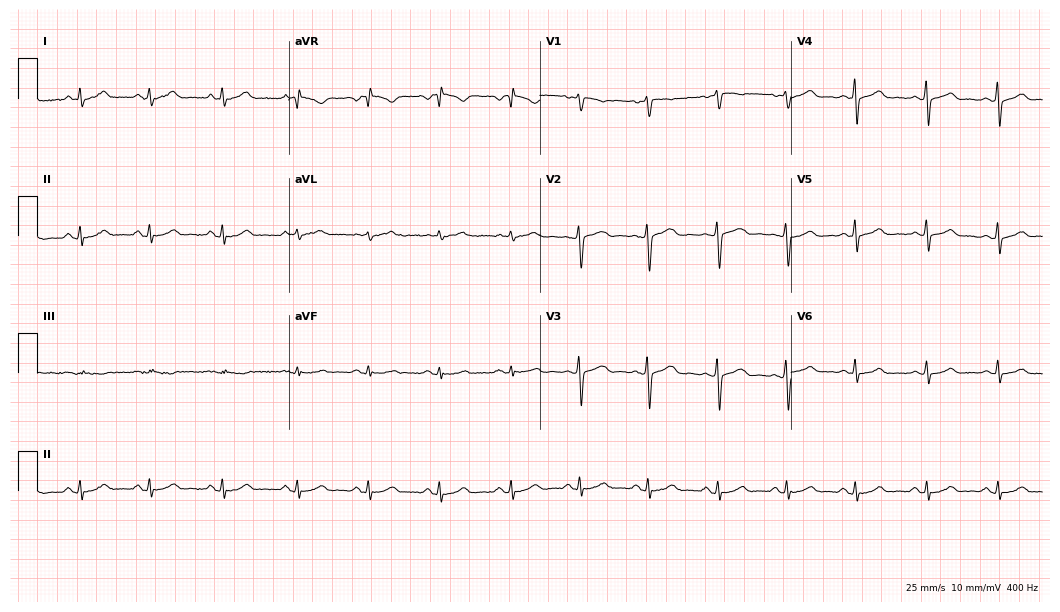
Resting 12-lead electrocardiogram (10.2-second recording at 400 Hz). Patient: a female, 55 years old. None of these six findings is recorded: first-degree AV block, right bundle branch block (RBBB), left bundle branch block (LBBB), sinus bradycardia, atrial fibrillation (AF), sinus tachycardia. Only these six findings were labelled.